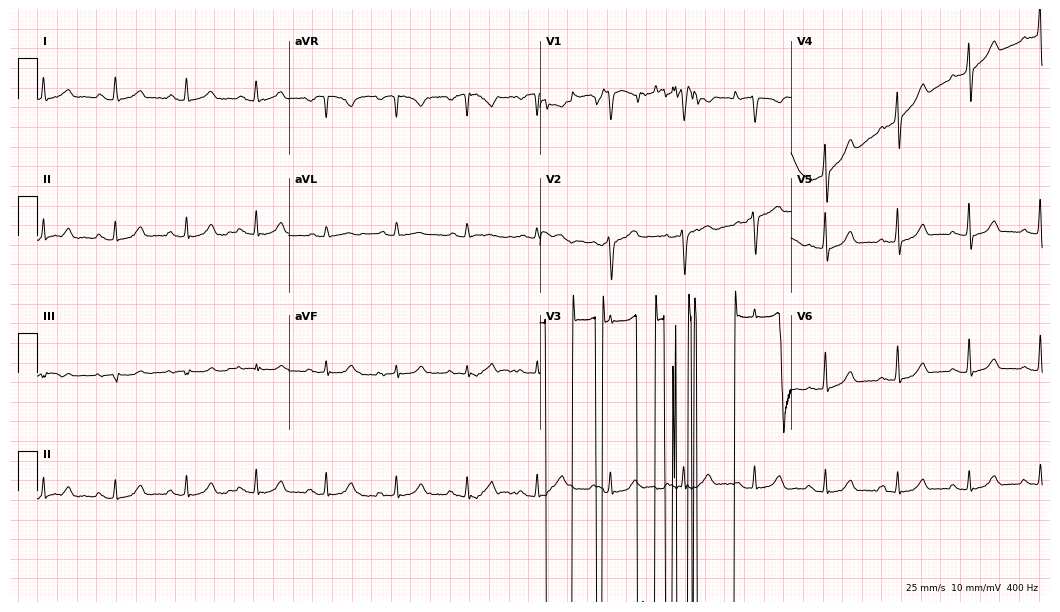
ECG (10.2-second recording at 400 Hz) — a woman, 53 years old. Screened for six findings — first-degree AV block, right bundle branch block, left bundle branch block, sinus bradycardia, atrial fibrillation, sinus tachycardia — none is recorded.